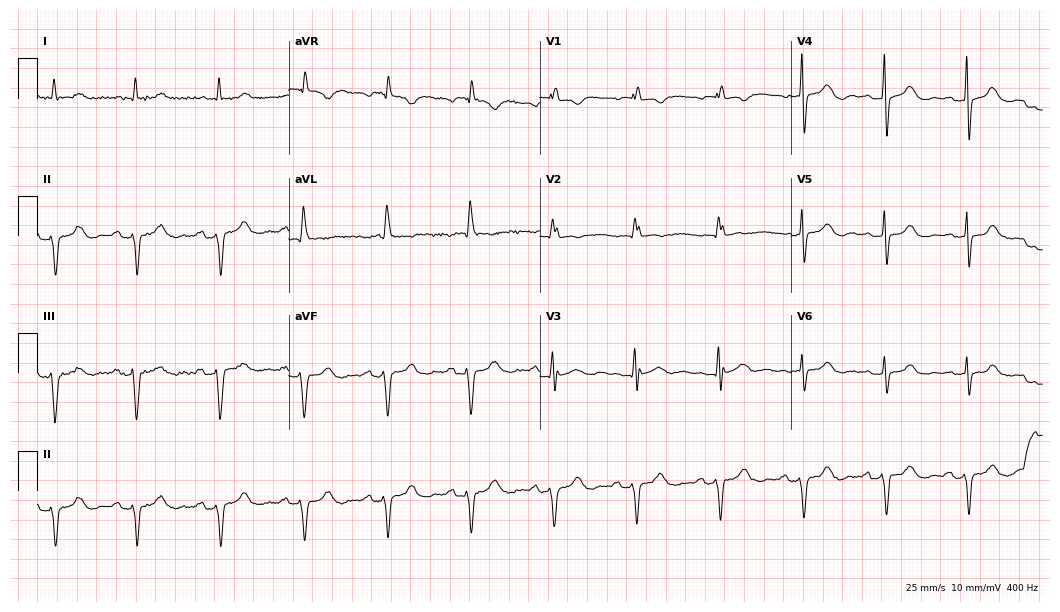
Resting 12-lead electrocardiogram. Patient: a 73-year-old woman. None of these six findings is recorded: first-degree AV block, right bundle branch block, left bundle branch block, sinus bradycardia, atrial fibrillation, sinus tachycardia.